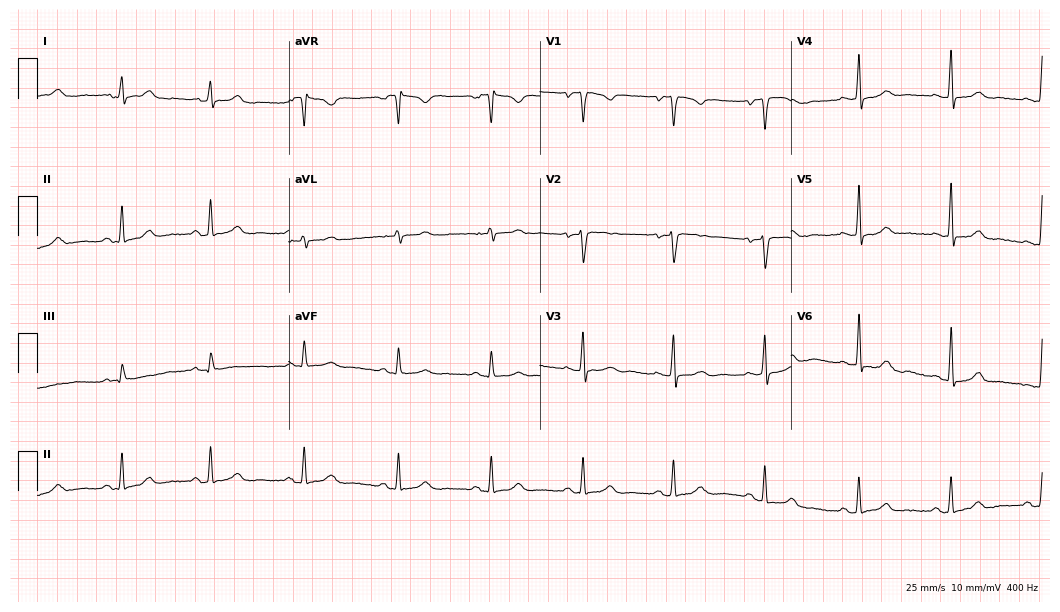
12-lead ECG from a woman, 35 years old. Recorded interpretation: within normal limits.